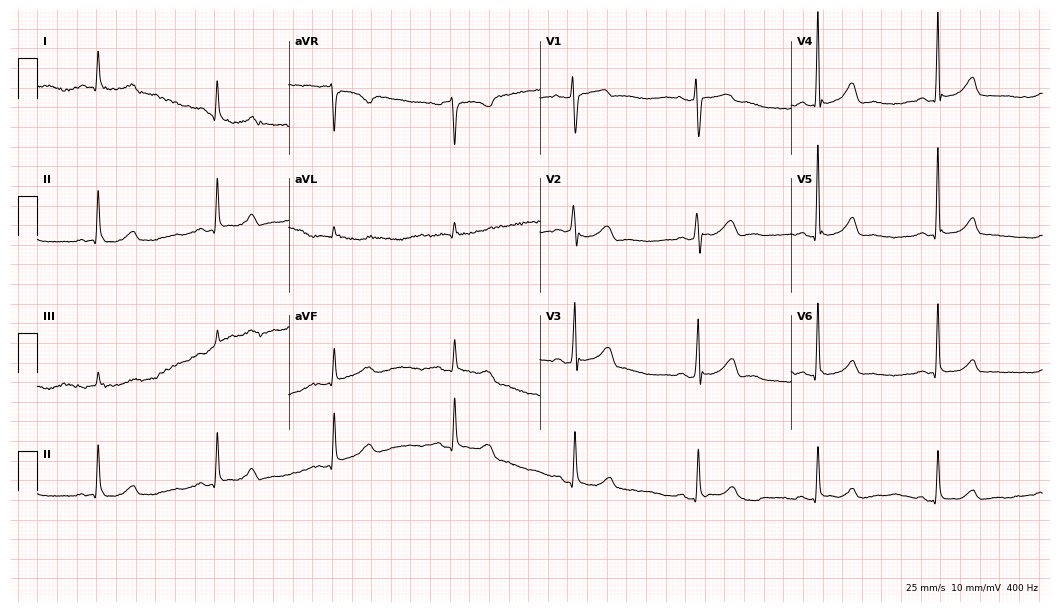
Resting 12-lead electrocardiogram. Patient: a 60-year-old female. Read as a normal ECG.